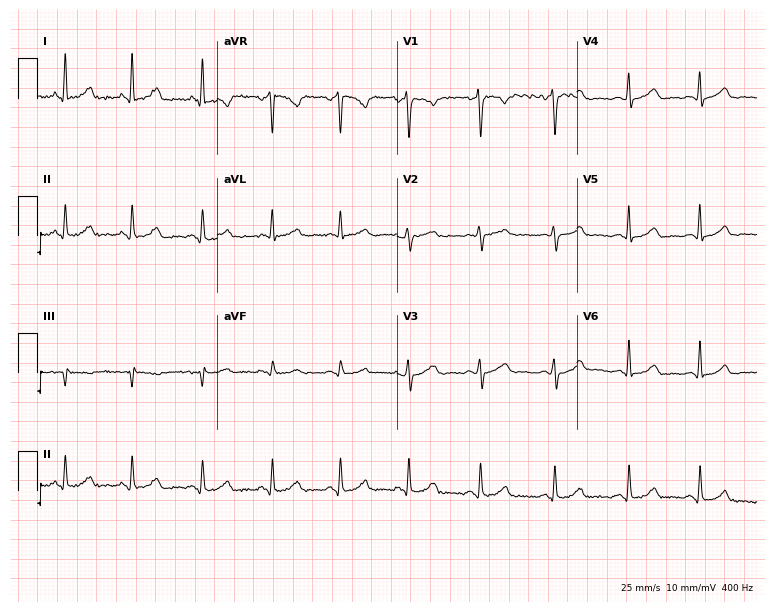
12-lead ECG (7.3-second recording at 400 Hz) from a woman, 38 years old. Screened for six findings — first-degree AV block, right bundle branch block, left bundle branch block, sinus bradycardia, atrial fibrillation, sinus tachycardia — none is recorded.